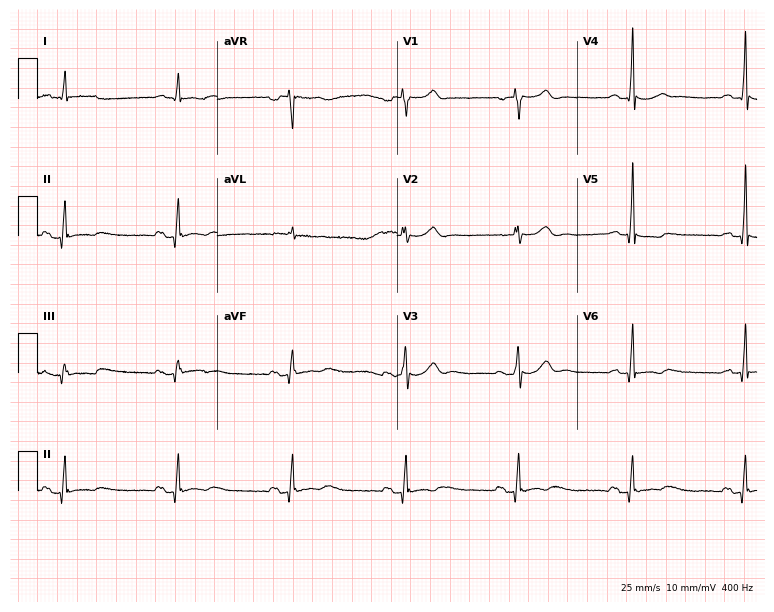
Standard 12-lead ECG recorded from a man, 65 years old. None of these six findings is recorded: first-degree AV block, right bundle branch block, left bundle branch block, sinus bradycardia, atrial fibrillation, sinus tachycardia.